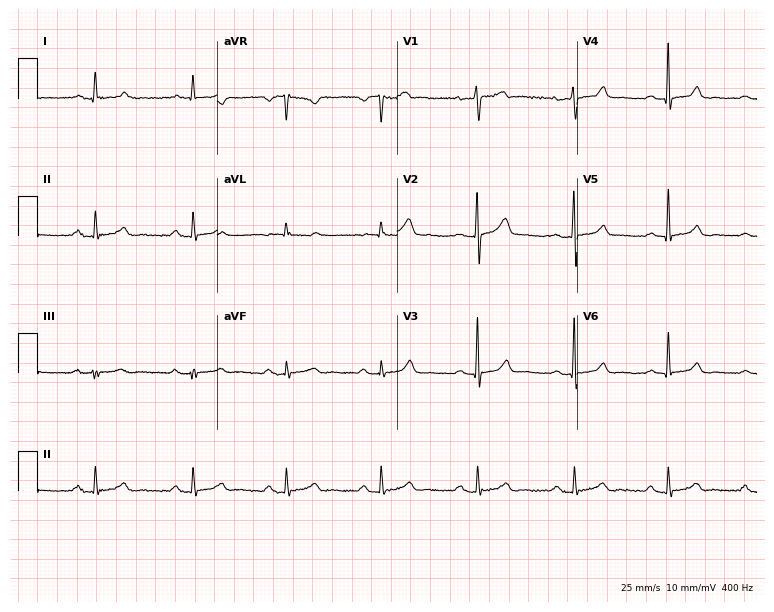
12-lead ECG from a male, 37 years old (7.3-second recording at 400 Hz). No first-degree AV block, right bundle branch block, left bundle branch block, sinus bradycardia, atrial fibrillation or sinus tachycardia recorded for this tracing.